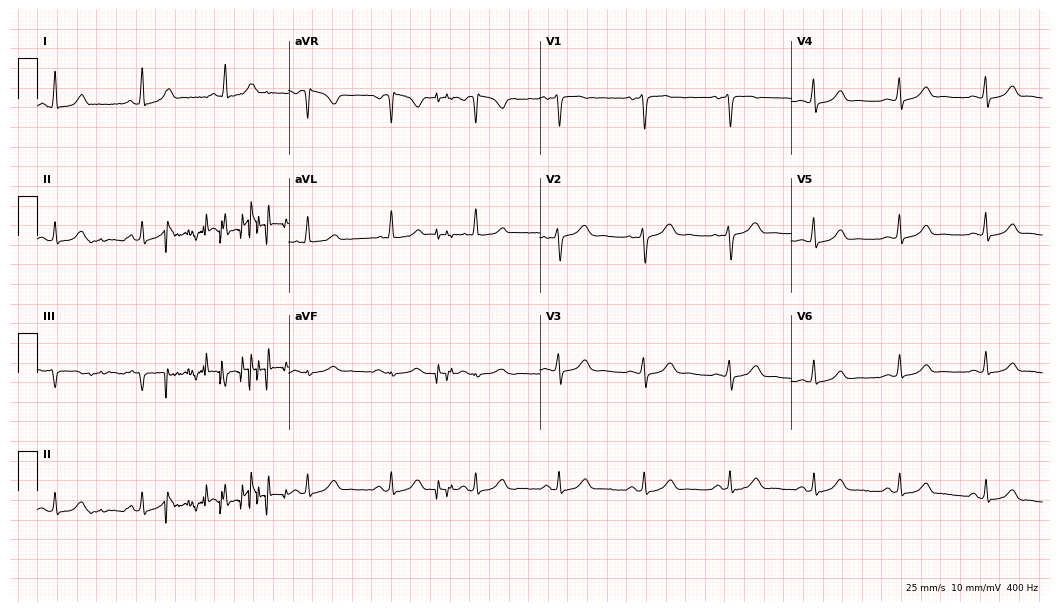
Electrocardiogram (10.2-second recording at 400 Hz), a 33-year-old female. Of the six screened findings (first-degree AV block, right bundle branch block (RBBB), left bundle branch block (LBBB), sinus bradycardia, atrial fibrillation (AF), sinus tachycardia), none is recorded.